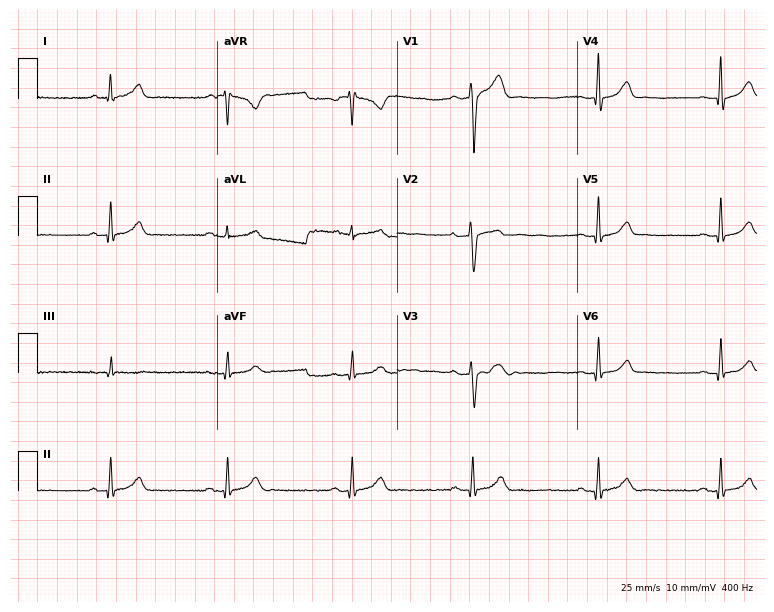
Resting 12-lead electrocardiogram (7.3-second recording at 400 Hz). Patient: a male, 29 years old. The tracing shows sinus bradycardia (a sinus rate of 50 beats per minute or less).